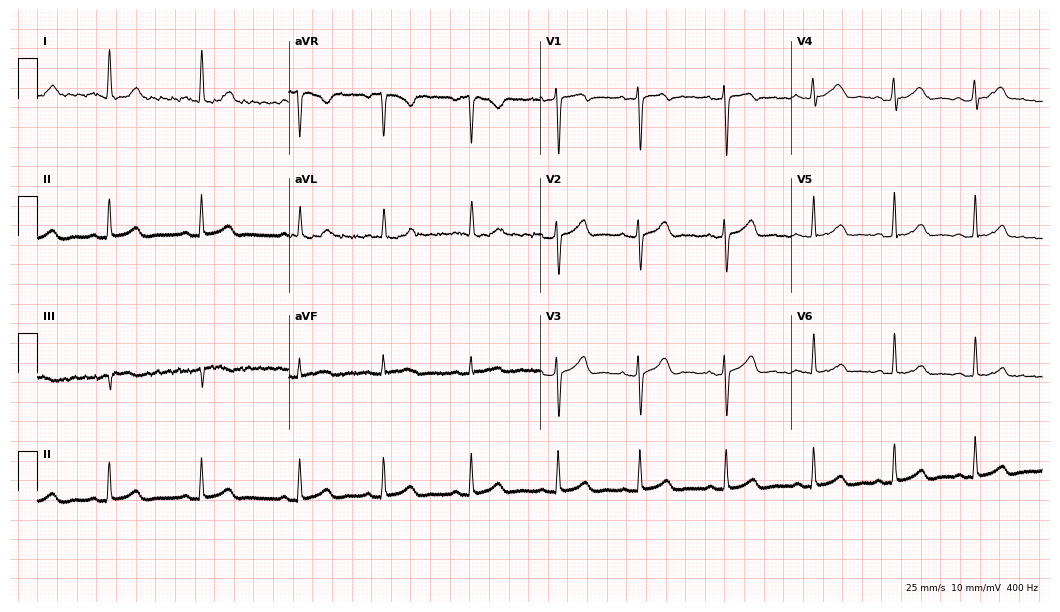
Resting 12-lead electrocardiogram. Patient: a 39-year-old woman. Read as a normal ECG.